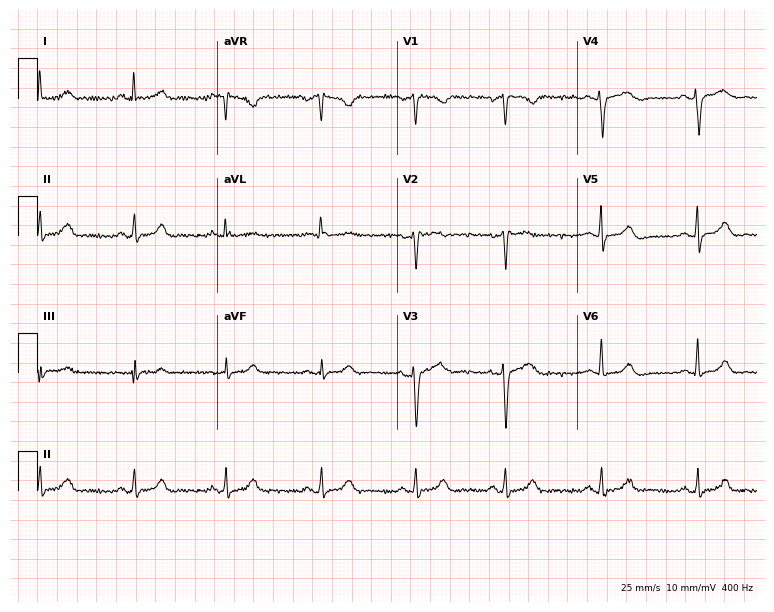
12-lead ECG from a 44-year-old female patient. Recorded interpretation: within normal limits.